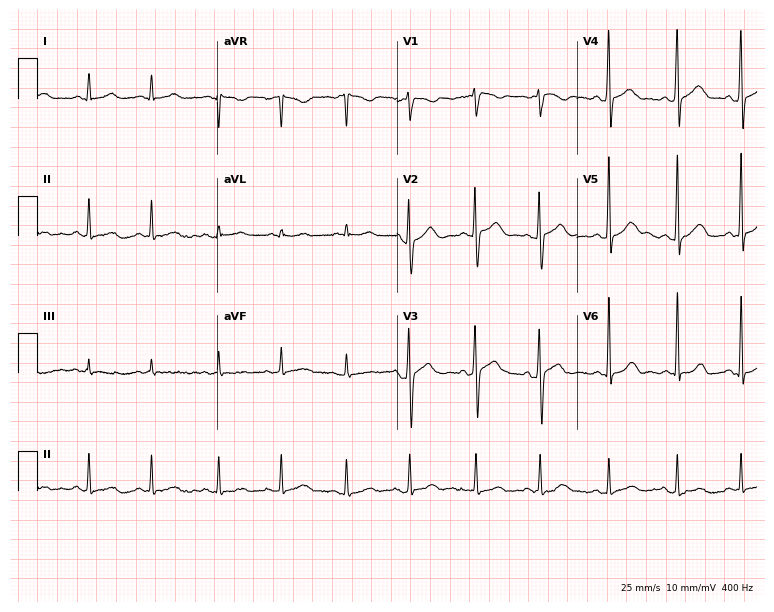
12-lead ECG from a 30-year-old woman. Labelled as a normal ECG.